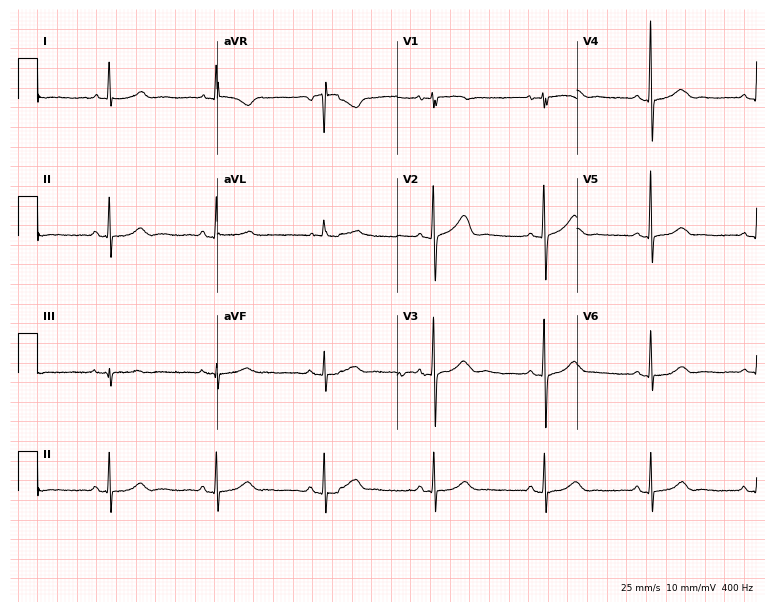
12-lead ECG (7.3-second recording at 400 Hz) from a 63-year-old female. Screened for six findings — first-degree AV block, right bundle branch block, left bundle branch block, sinus bradycardia, atrial fibrillation, sinus tachycardia — none is recorded. Findings outside these six are not listed.